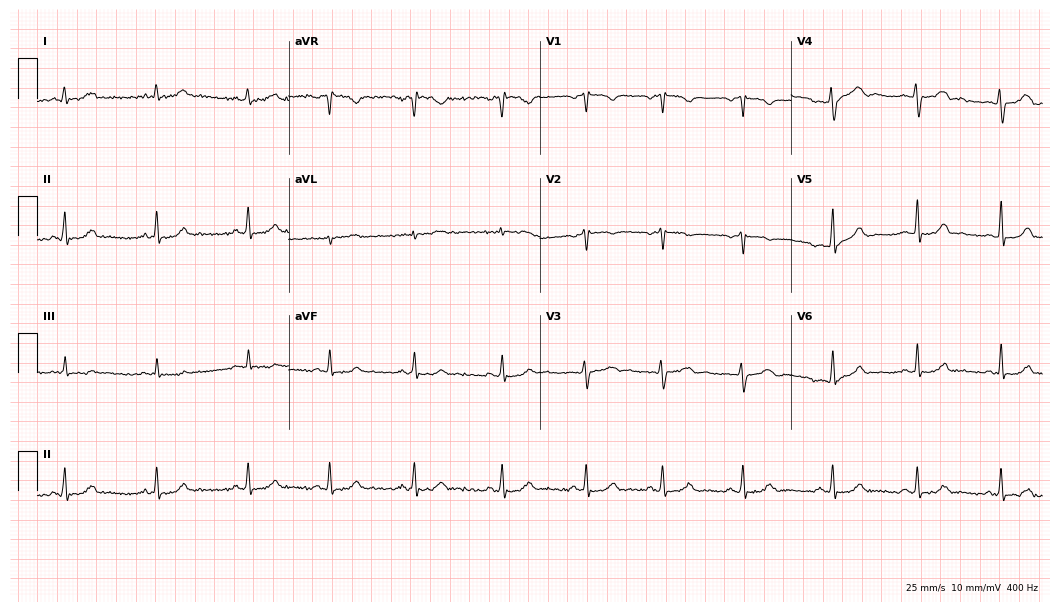
12-lead ECG from a woman, 24 years old (10.2-second recording at 400 Hz). Recorded interpretation: within normal limits.